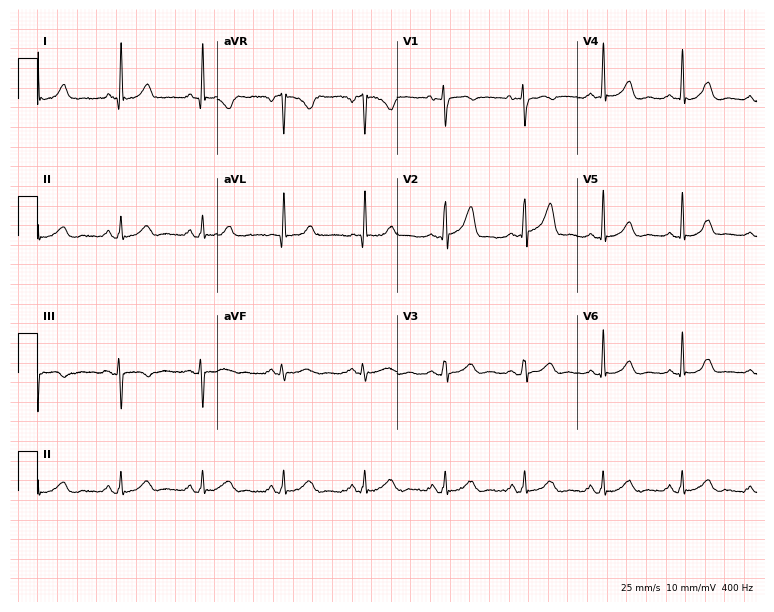
Resting 12-lead electrocardiogram. Patient: a 70-year-old female. None of these six findings is recorded: first-degree AV block, right bundle branch block, left bundle branch block, sinus bradycardia, atrial fibrillation, sinus tachycardia.